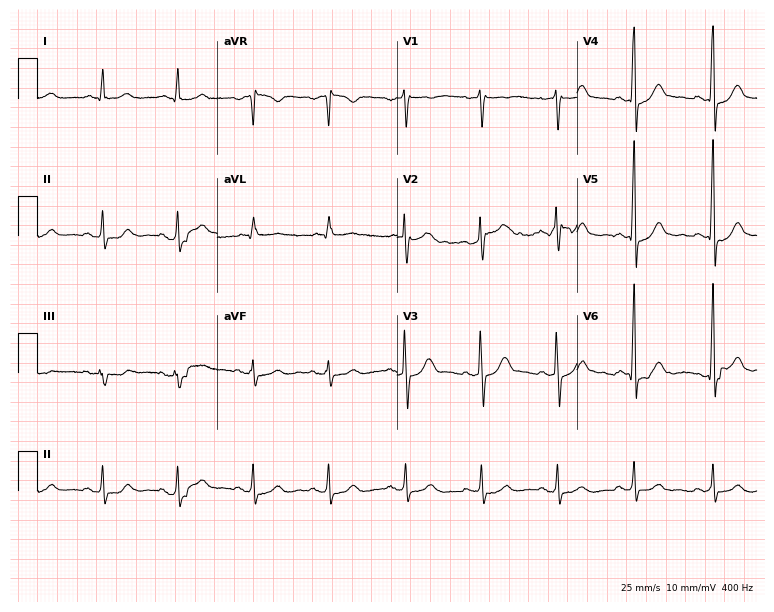
12-lead ECG (7.3-second recording at 400 Hz) from a man, 46 years old. Labelled as a normal ECG.